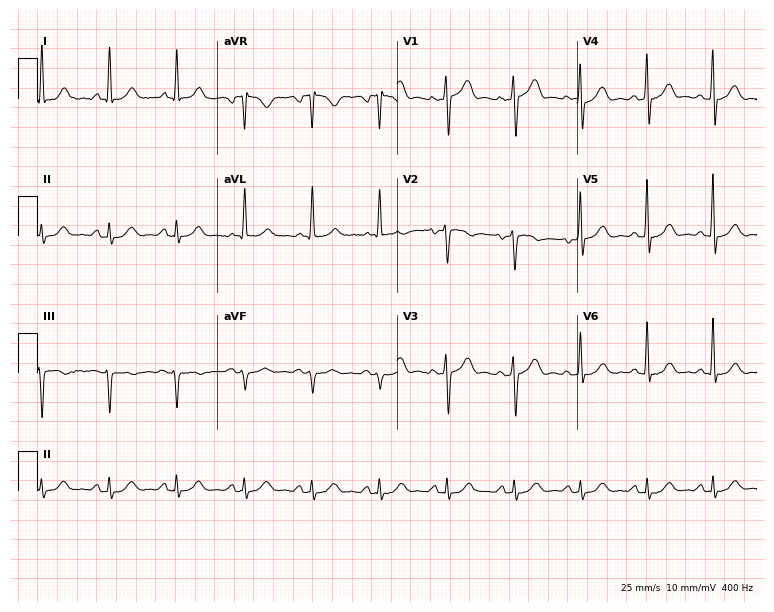
Resting 12-lead electrocardiogram (7.3-second recording at 400 Hz). Patient: a 67-year-old male. None of these six findings is recorded: first-degree AV block, right bundle branch block, left bundle branch block, sinus bradycardia, atrial fibrillation, sinus tachycardia.